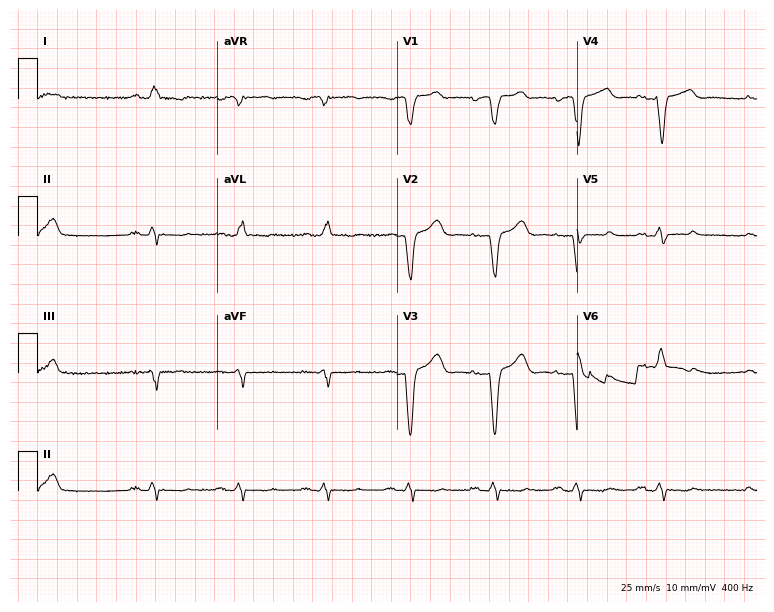
ECG — a female patient, 77 years old. Findings include left bundle branch block.